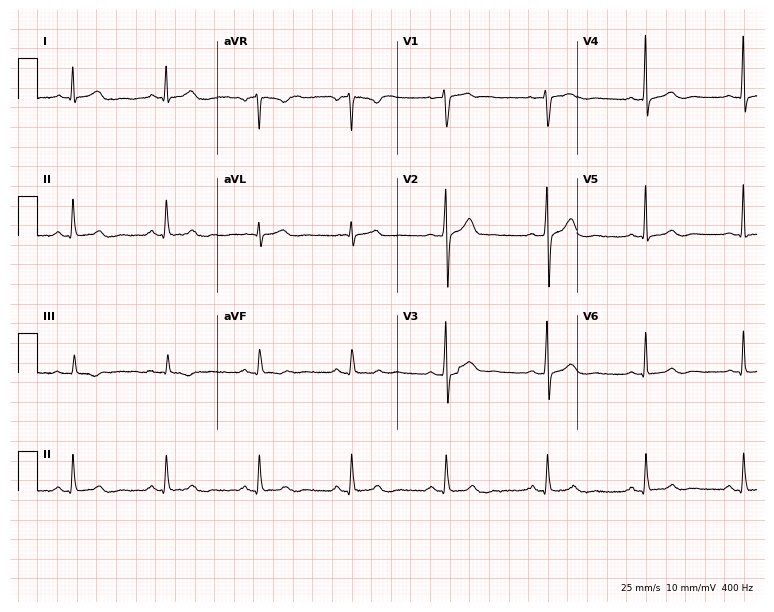
12-lead ECG from a man, 37 years old. Labelled as a normal ECG.